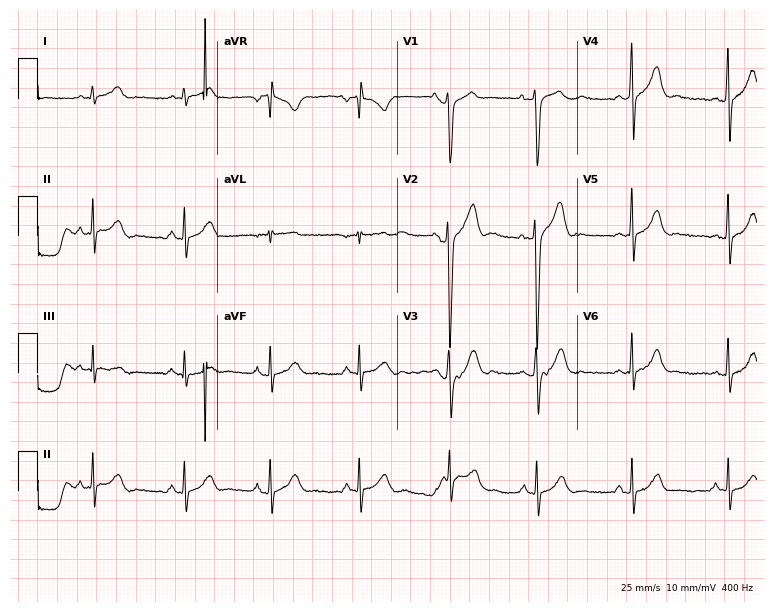
12-lead ECG from a 20-year-old male patient (7.3-second recording at 400 Hz). Recorded interpretation: within normal limits.